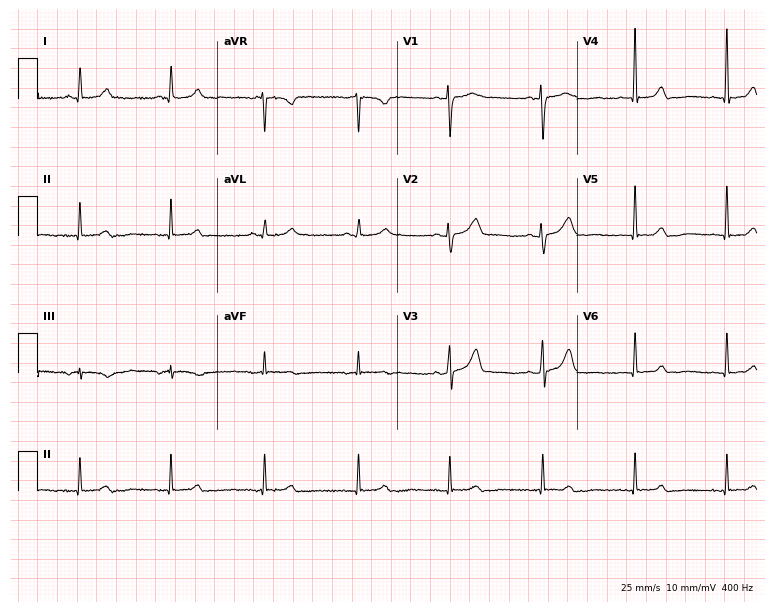
12-lead ECG from a woman, 51 years old. Labelled as a normal ECG.